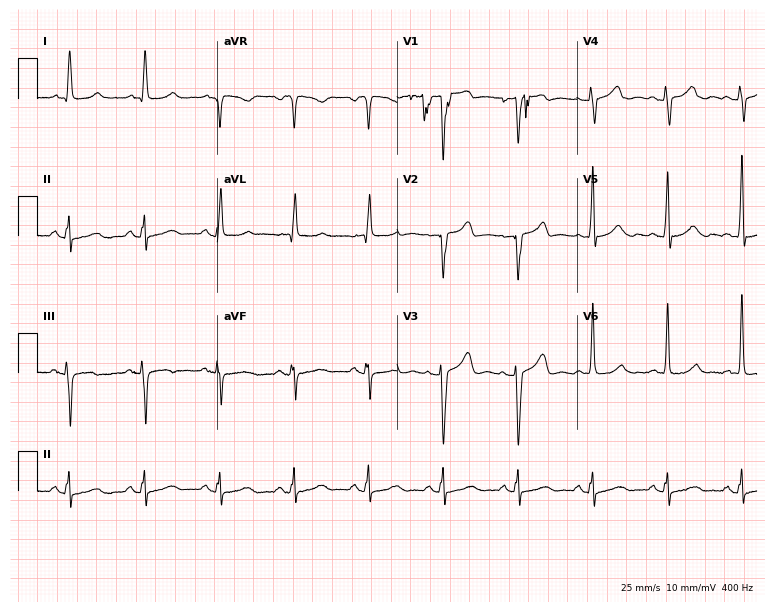
Electrocardiogram, a woman, 60 years old. Of the six screened findings (first-degree AV block, right bundle branch block, left bundle branch block, sinus bradycardia, atrial fibrillation, sinus tachycardia), none is recorded.